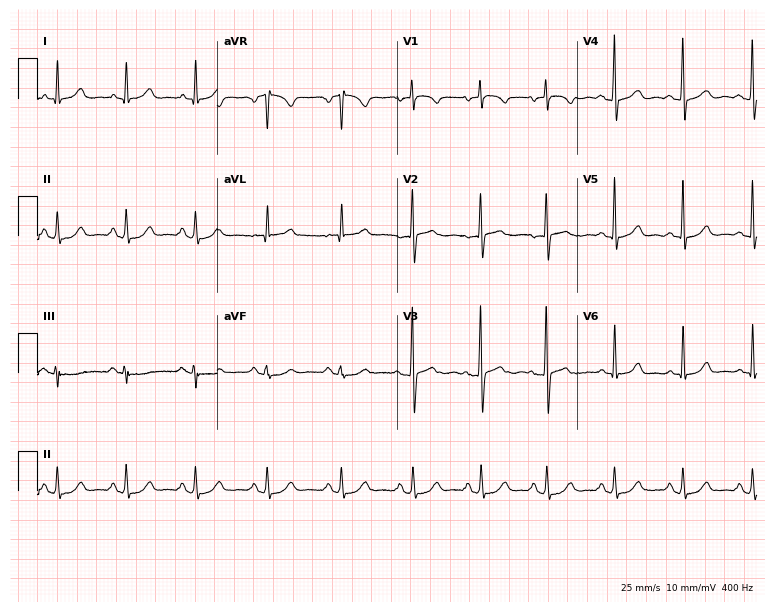
12-lead ECG (7.3-second recording at 400 Hz) from a female patient, 44 years old. Screened for six findings — first-degree AV block, right bundle branch block, left bundle branch block, sinus bradycardia, atrial fibrillation, sinus tachycardia — none is recorded. Only these six findings were labelled.